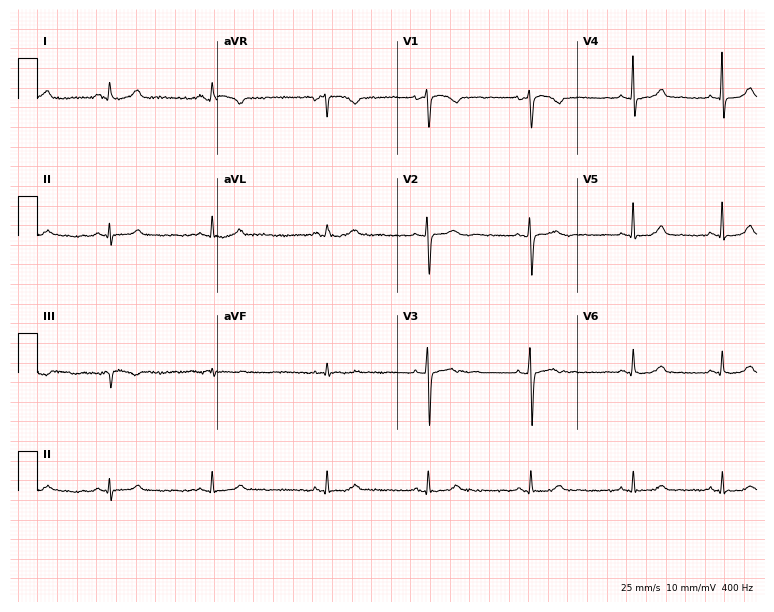
ECG (7.3-second recording at 400 Hz) — a woman, 37 years old. Screened for six findings — first-degree AV block, right bundle branch block, left bundle branch block, sinus bradycardia, atrial fibrillation, sinus tachycardia — none is recorded.